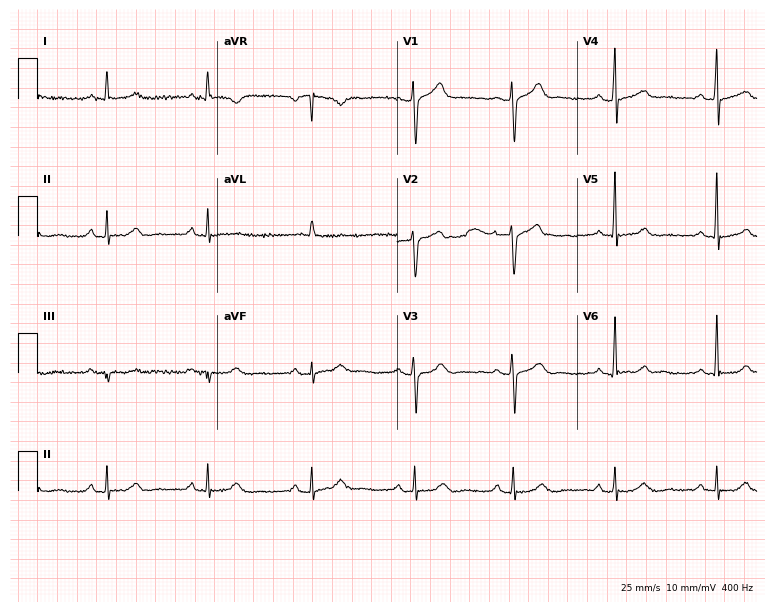
Standard 12-lead ECG recorded from a 60-year-old woman (7.3-second recording at 400 Hz). None of these six findings is recorded: first-degree AV block, right bundle branch block, left bundle branch block, sinus bradycardia, atrial fibrillation, sinus tachycardia. Findings outside these six are not listed.